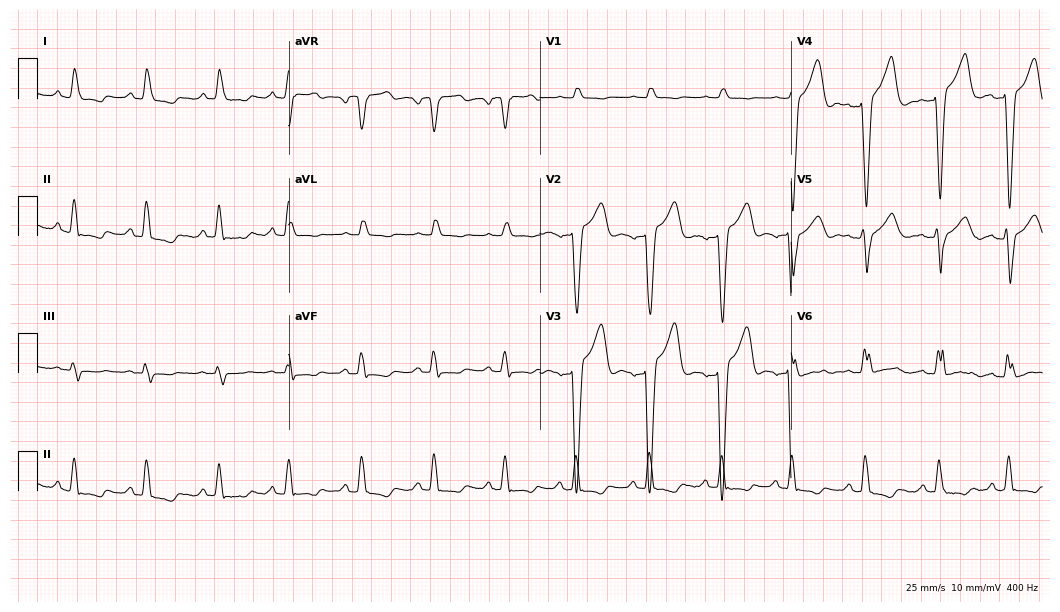
ECG (10.2-second recording at 400 Hz) — a female patient, 57 years old. Screened for six findings — first-degree AV block, right bundle branch block (RBBB), left bundle branch block (LBBB), sinus bradycardia, atrial fibrillation (AF), sinus tachycardia — none is recorded. Findings outside these six are not listed.